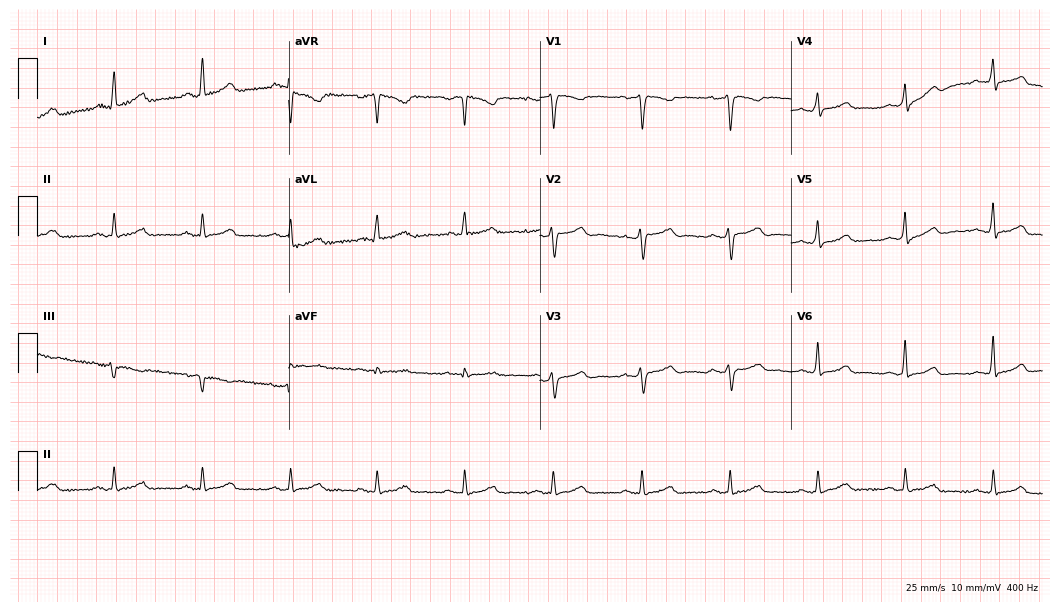
ECG — a 61-year-old woman. Labelled as a normal ECG.